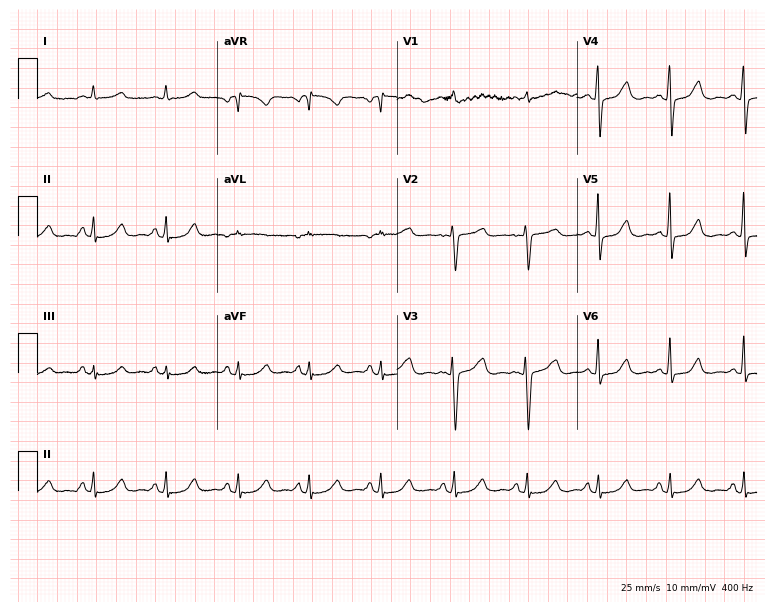
Resting 12-lead electrocardiogram. Patient: a female, 42 years old. Read as a normal ECG.